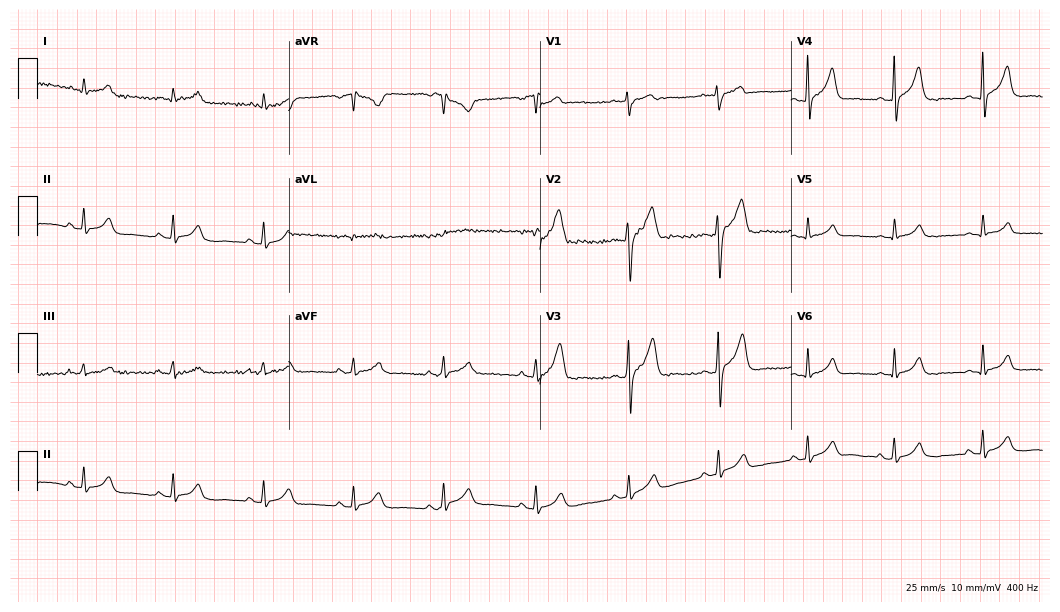
Electrocardiogram, a 31-year-old male. Overall reading on record: normal ECG.